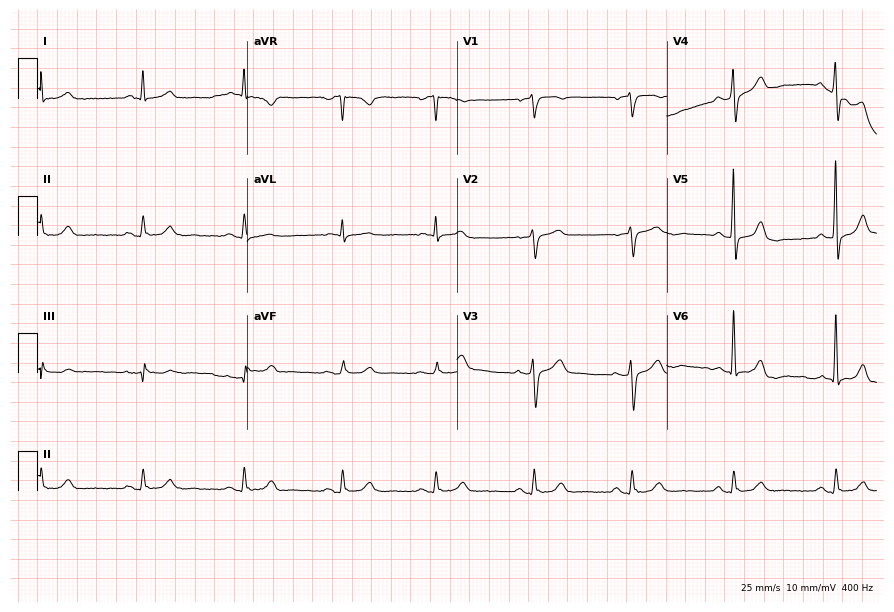
Electrocardiogram (8.6-second recording at 400 Hz), a male, 72 years old. Of the six screened findings (first-degree AV block, right bundle branch block, left bundle branch block, sinus bradycardia, atrial fibrillation, sinus tachycardia), none is recorded. Other findings, if any, are not listed.